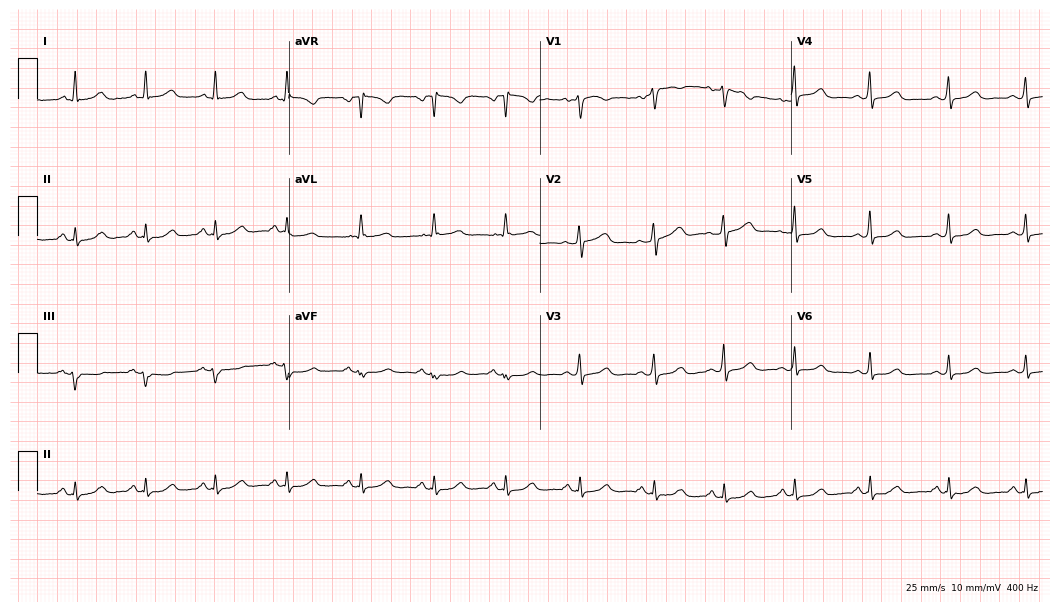
12-lead ECG (10.2-second recording at 400 Hz) from a female patient, 44 years old. Labelled as a normal ECG.